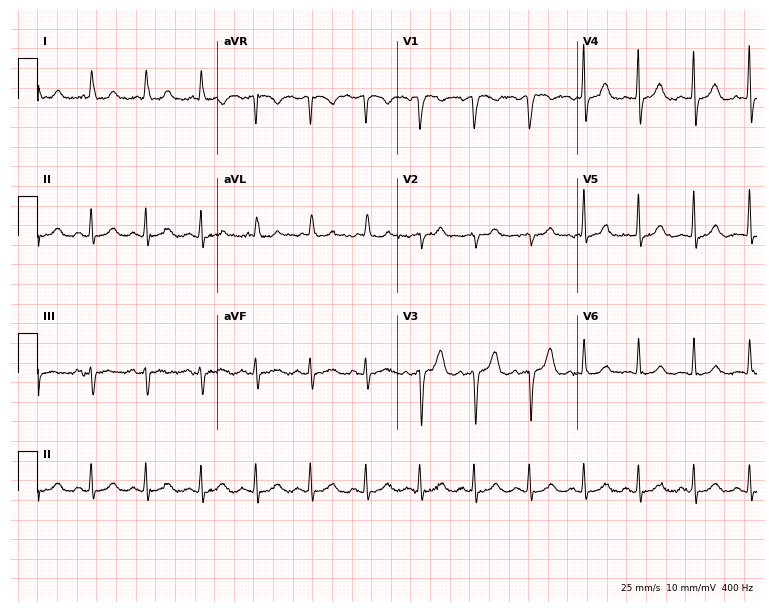
Resting 12-lead electrocardiogram (7.3-second recording at 400 Hz). Patient: a 75-year-old female. The tracing shows sinus tachycardia (a sinus rate of 100 beats per minute or more).